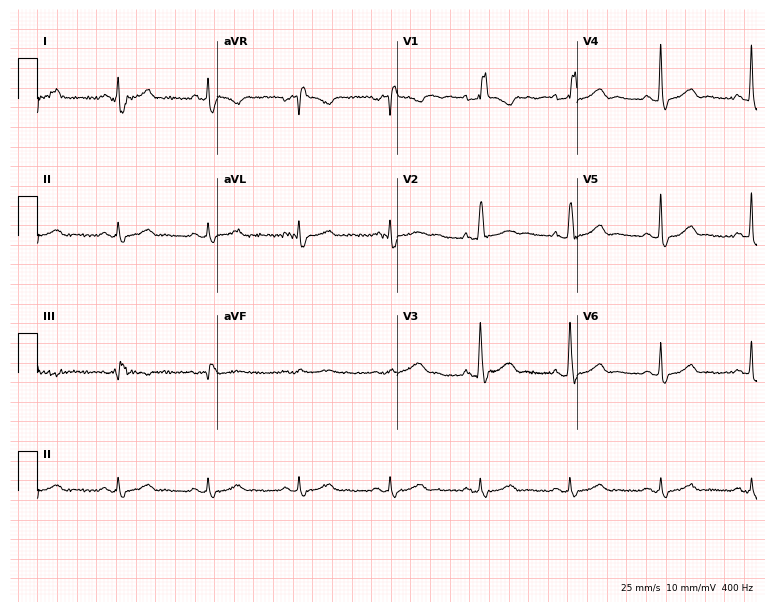
Electrocardiogram, a female patient, 63 years old. Interpretation includes right bundle branch block.